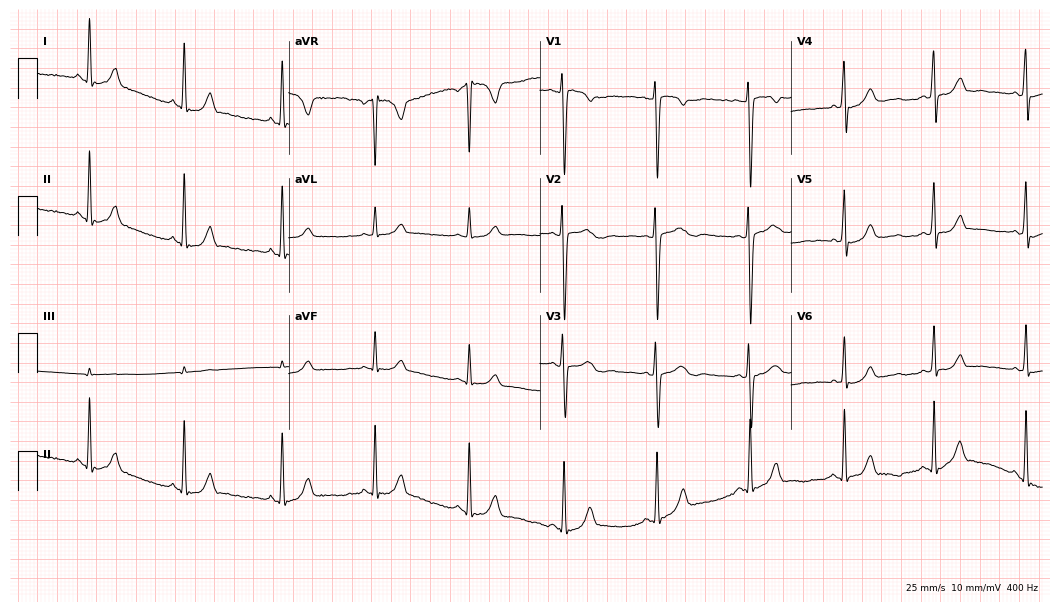
12-lead ECG from a female, 19 years old (10.2-second recording at 400 Hz). No first-degree AV block, right bundle branch block (RBBB), left bundle branch block (LBBB), sinus bradycardia, atrial fibrillation (AF) or sinus tachycardia recorded for this tracing. Only these six findings were labelled.